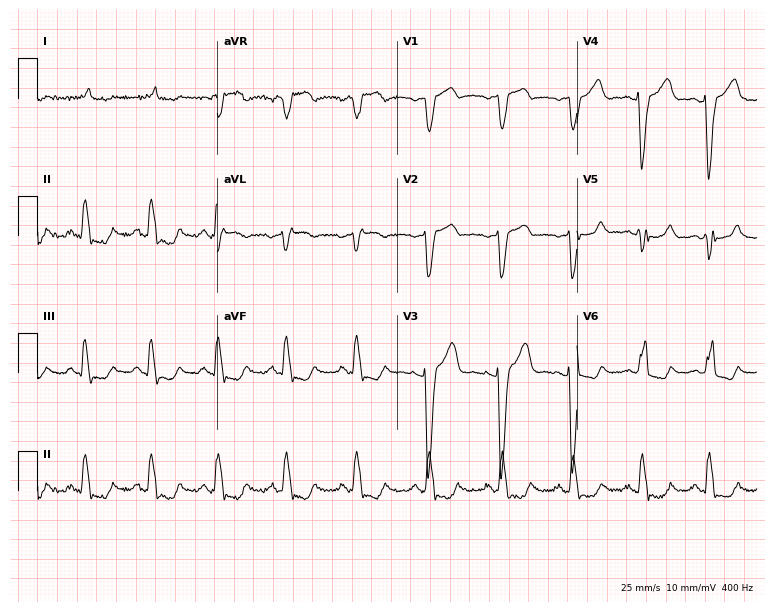
12-lead ECG from a 71-year-old male patient. Findings include left bundle branch block.